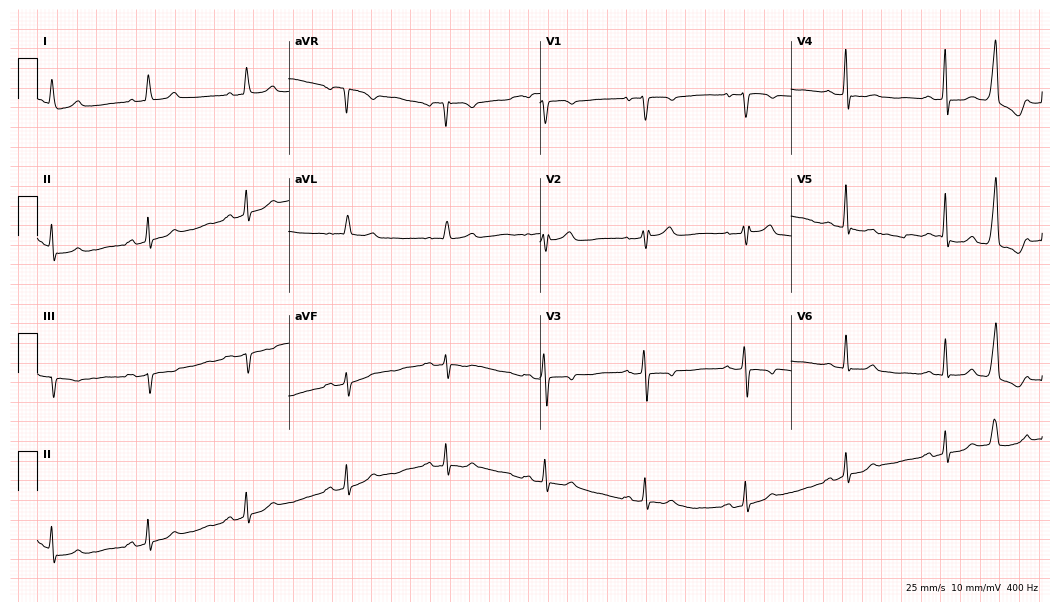
ECG (10.2-second recording at 400 Hz) — a 60-year-old female. Screened for six findings — first-degree AV block, right bundle branch block, left bundle branch block, sinus bradycardia, atrial fibrillation, sinus tachycardia — none is recorded.